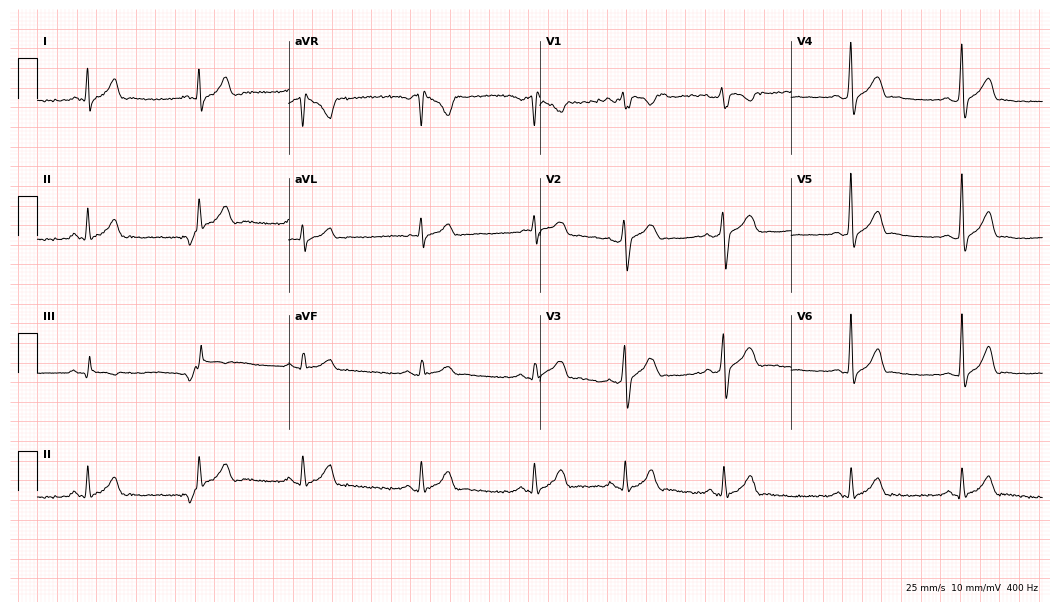
ECG (10.2-second recording at 400 Hz) — a male patient, 24 years old. Screened for six findings — first-degree AV block, right bundle branch block, left bundle branch block, sinus bradycardia, atrial fibrillation, sinus tachycardia — none is recorded. Other findings, if any, are not listed.